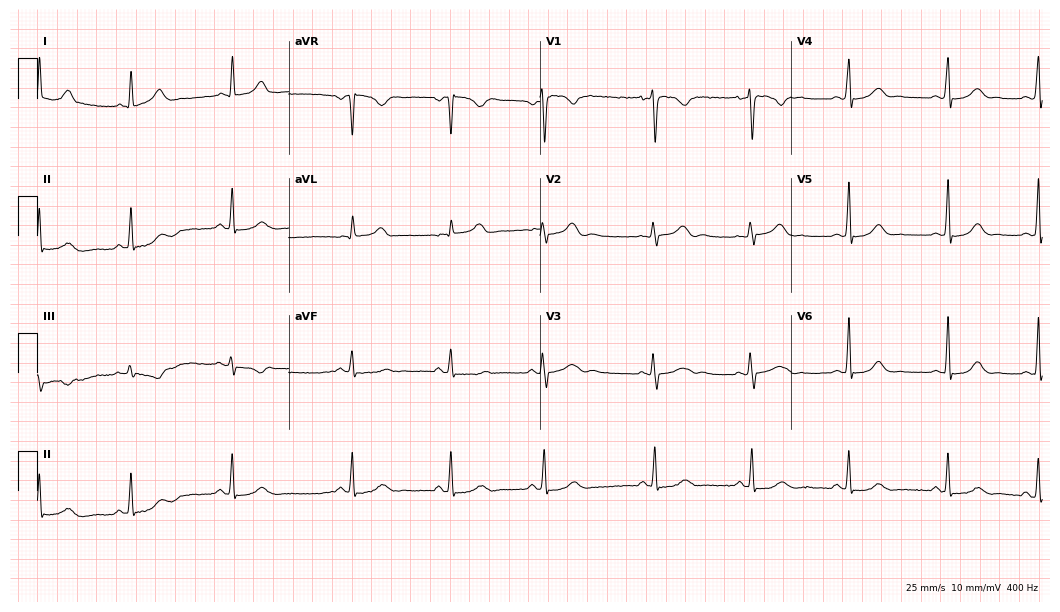
12-lead ECG from a 31-year-old female patient (10.2-second recording at 400 Hz). Recorded interpretation: within normal limits.